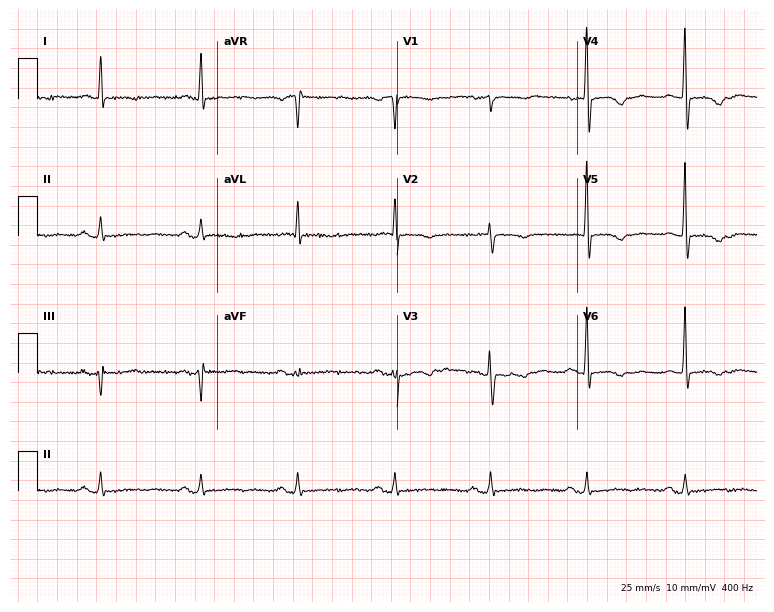
Electrocardiogram, a 74-year-old woman. Of the six screened findings (first-degree AV block, right bundle branch block, left bundle branch block, sinus bradycardia, atrial fibrillation, sinus tachycardia), none is recorded.